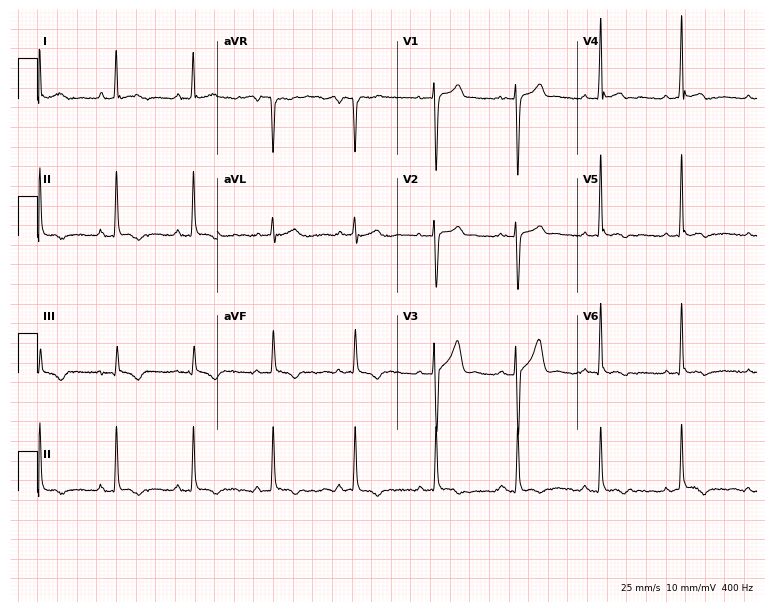
ECG — a 24-year-old male. Screened for six findings — first-degree AV block, right bundle branch block (RBBB), left bundle branch block (LBBB), sinus bradycardia, atrial fibrillation (AF), sinus tachycardia — none is recorded. Only these six findings were labelled.